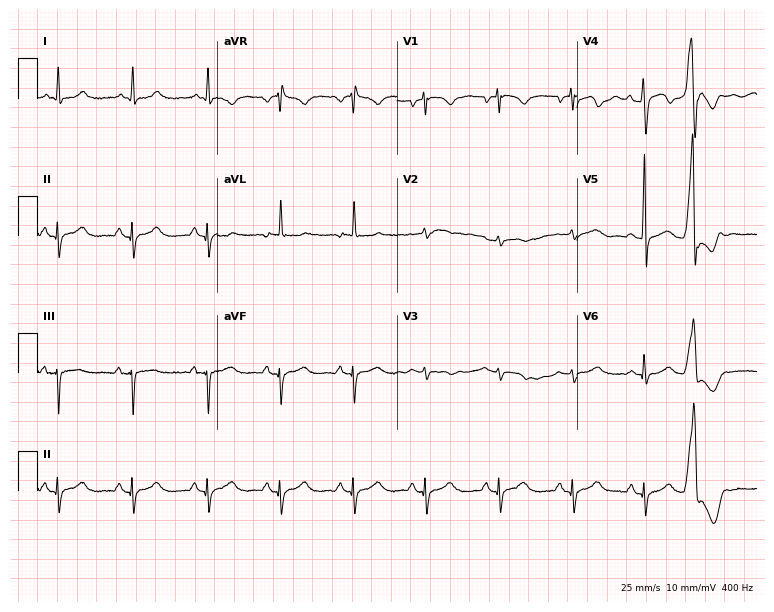
Standard 12-lead ECG recorded from a male, 45 years old. None of these six findings is recorded: first-degree AV block, right bundle branch block, left bundle branch block, sinus bradycardia, atrial fibrillation, sinus tachycardia.